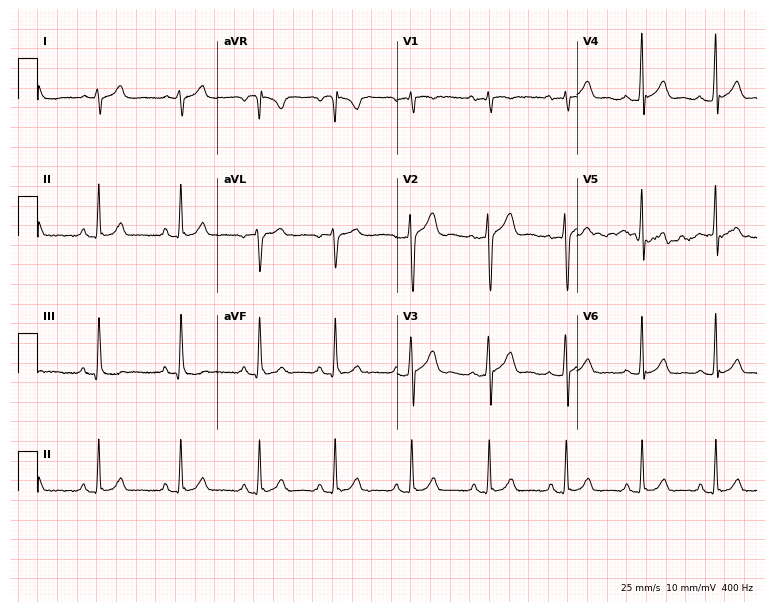
Electrocardiogram, a male, 25 years old. Of the six screened findings (first-degree AV block, right bundle branch block, left bundle branch block, sinus bradycardia, atrial fibrillation, sinus tachycardia), none is recorded.